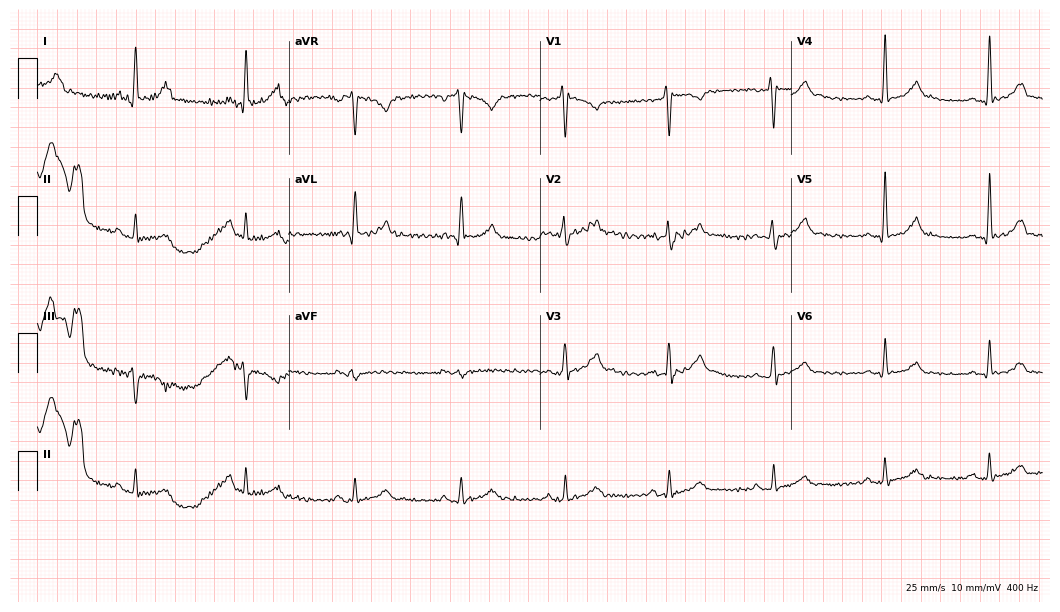
12-lead ECG from a 31-year-old woman. No first-degree AV block, right bundle branch block, left bundle branch block, sinus bradycardia, atrial fibrillation or sinus tachycardia recorded for this tracing.